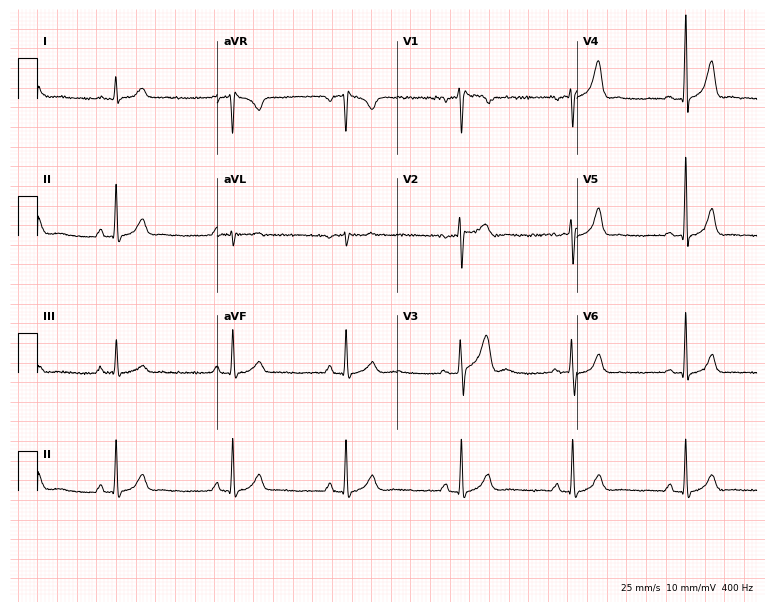
Electrocardiogram, a man, 34 years old. Overall reading on record: normal ECG.